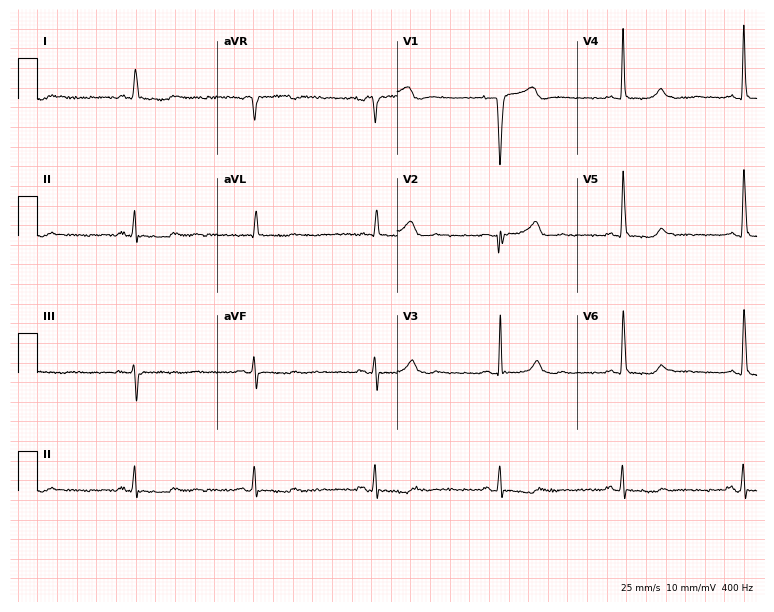
12-lead ECG from a 74-year-old man. Findings include sinus bradycardia (a sinus rate of 50 beats per minute or less).